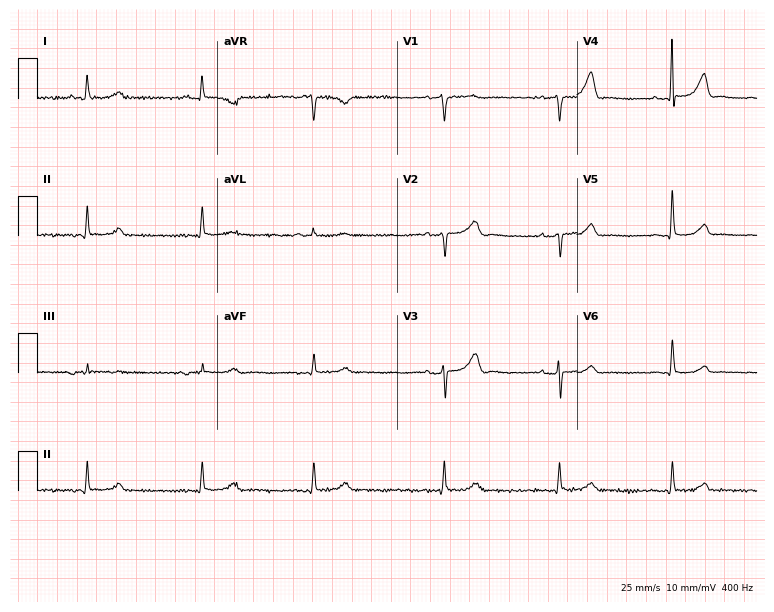
Electrocardiogram (7.3-second recording at 400 Hz), a female, 54 years old. Of the six screened findings (first-degree AV block, right bundle branch block (RBBB), left bundle branch block (LBBB), sinus bradycardia, atrial fibrillation (AF), sinus tachycardia), none is recorded. Findings outside these six are not listed.